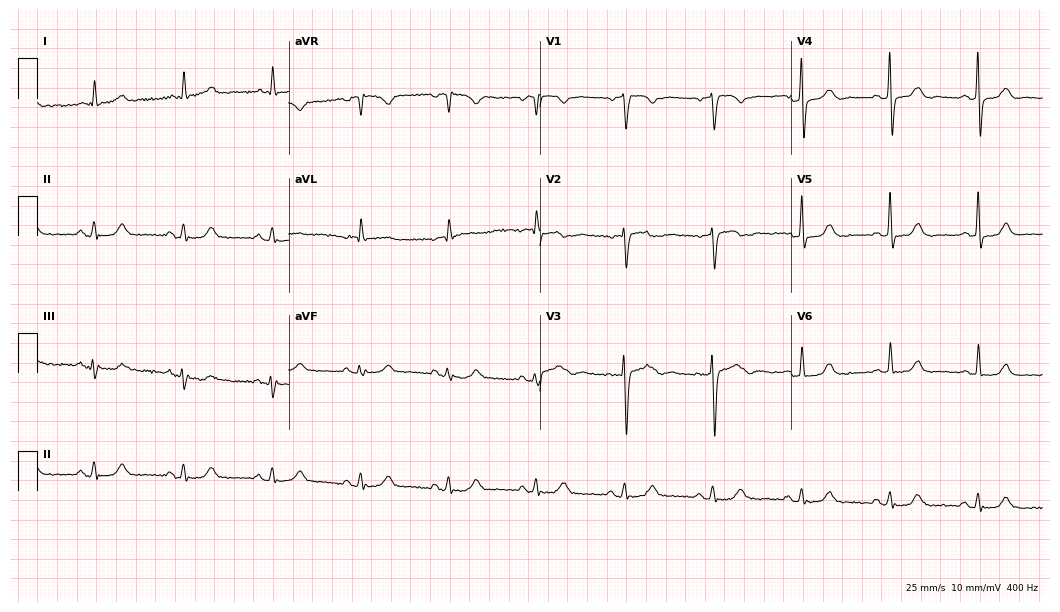
12-lead ECG (10.2-second recording at 400 Hz) from an 83-year-old female patient. Labelled as a normal ECG.